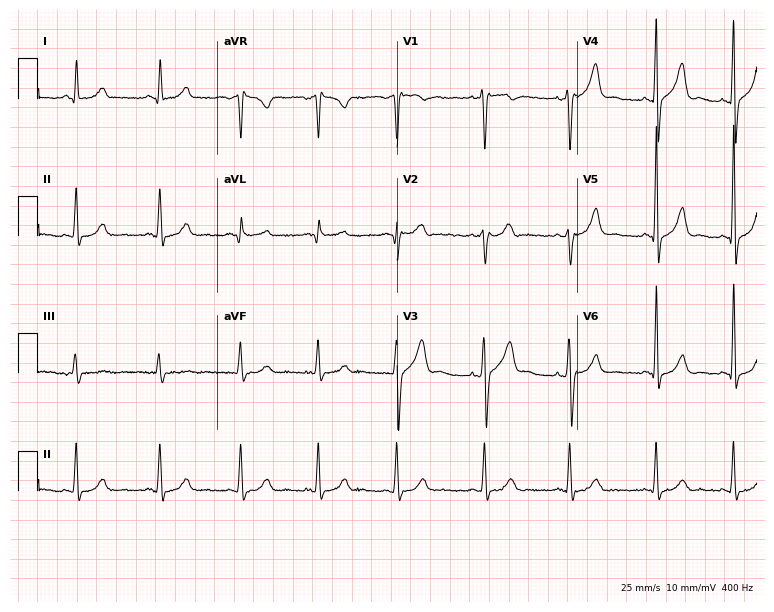
ECG (7.3-second recording at 400 Hz) — a 28-year-old male. Screened for six findings — first-degree AV block, right bundle branch block, left bundle branch block, sinus bradycardia, atrial fibrillation, sinus tachycardia — none is recorded. Findings outside these six are not listed.